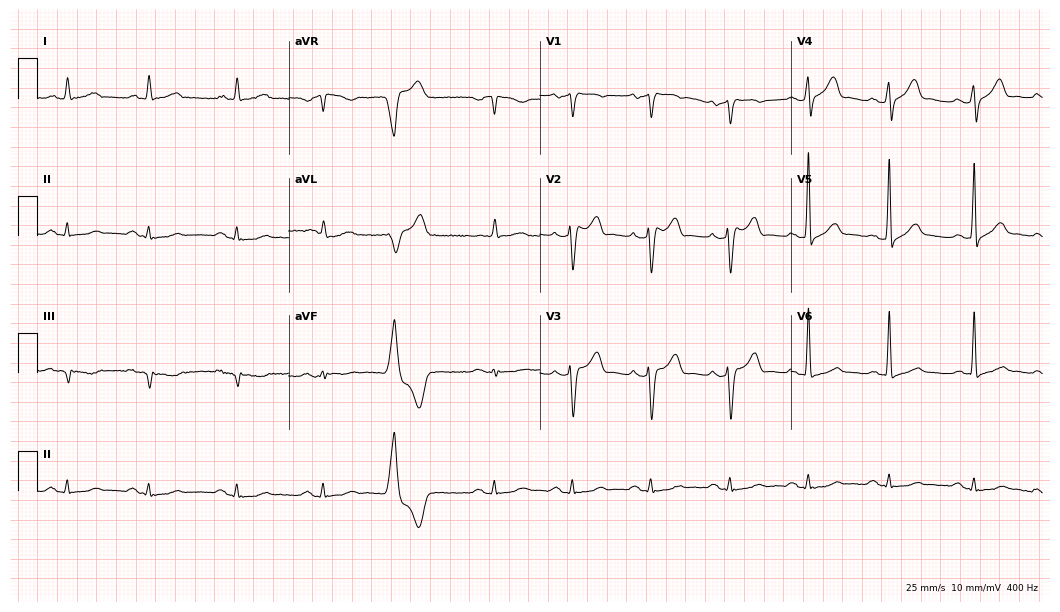
Resting 12-lead electrocardiogram (10.2-second recording at 400 Hz). Patient: an 80-year-old male. Read as a normal ECG.